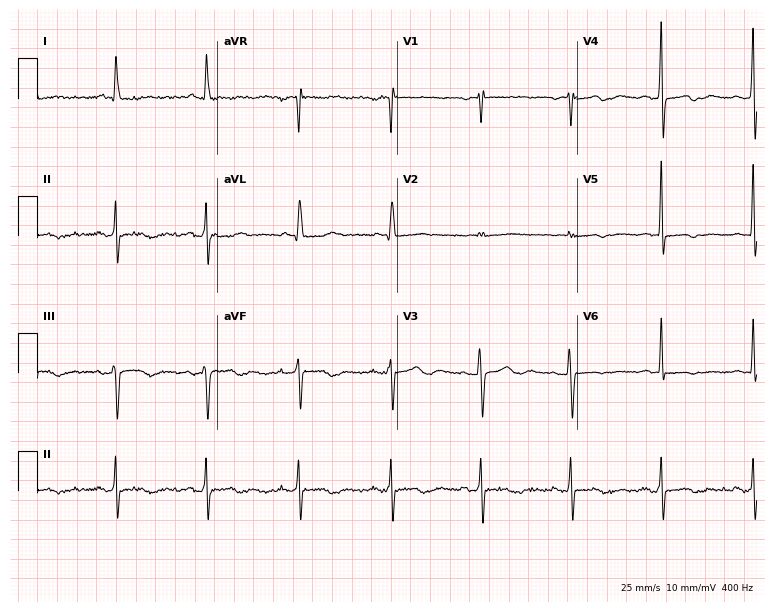
ECG — a female, 76 years old. Screened for six findings — first-degree AV block, right bundle branch block, left bundle branch block, sinus bradycardia, atrial fibrillation, sinus tachycardia — none is recorded.